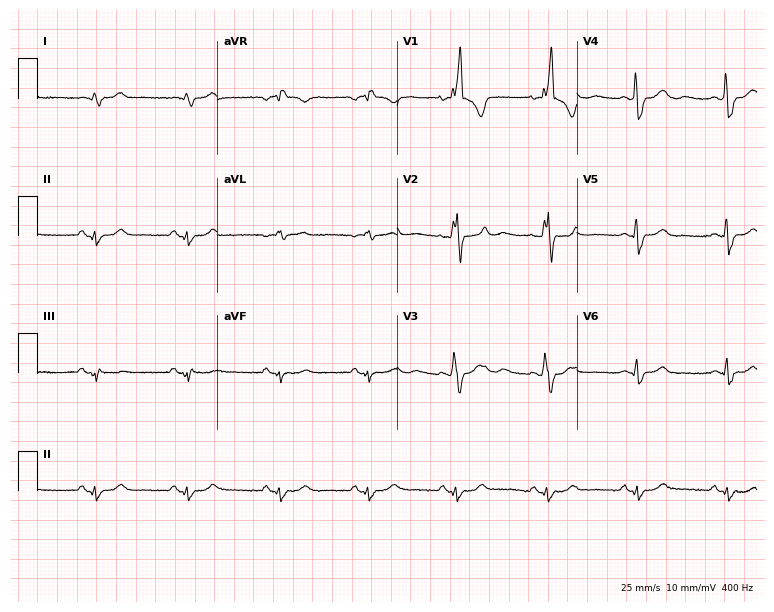
ECG — a man, 63 years old. Findings include right bundle branch block.